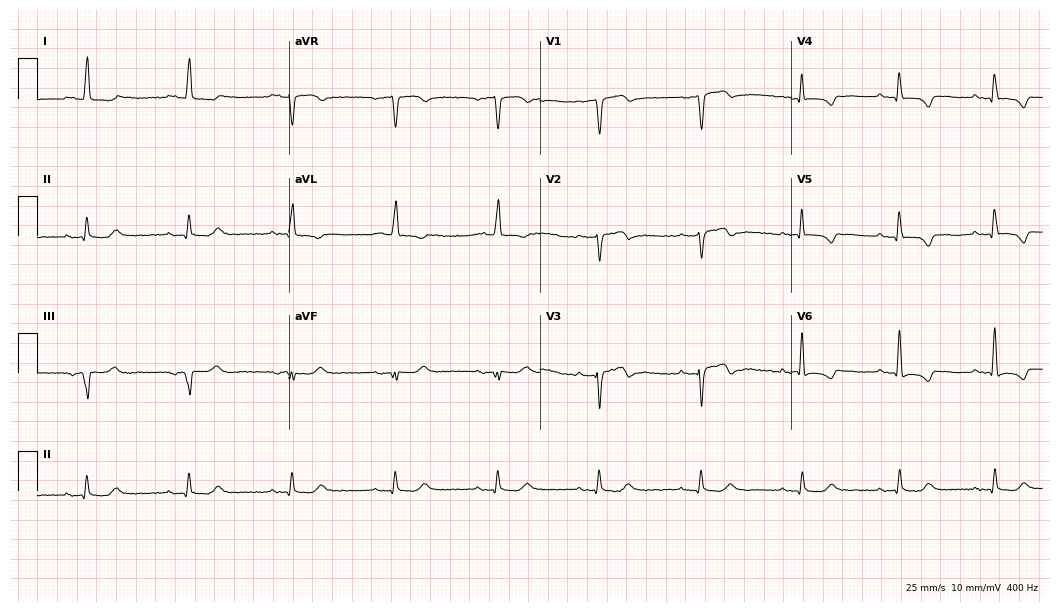
12-lead ECG from a male, 81 years old. Screened for six findings — first-degree AV block, right bundle branch block, left bundle branch block, sinus bradycardia, atrial fibrillation, sinus tachycardia — none is recorded. Other findings, if any, are not listed.